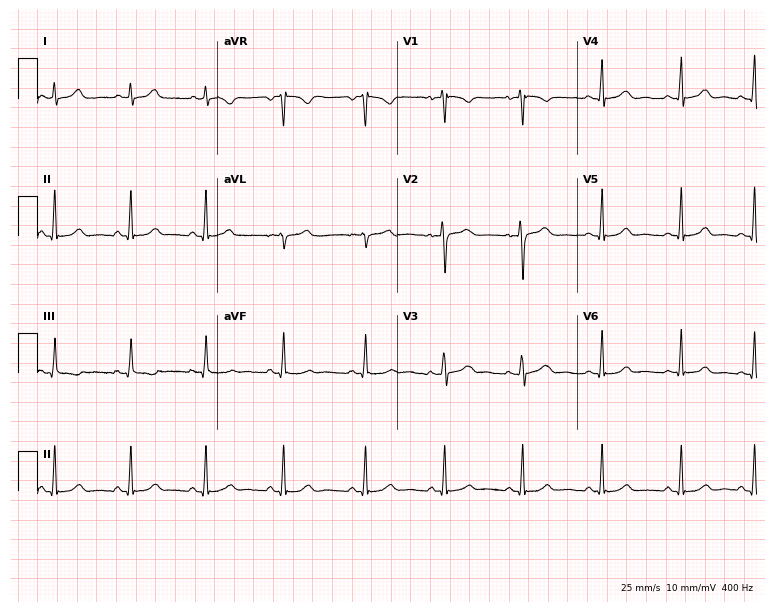
12-lead ECG from a female patient, 25 years old. Recorded interpretation: within normal limits.